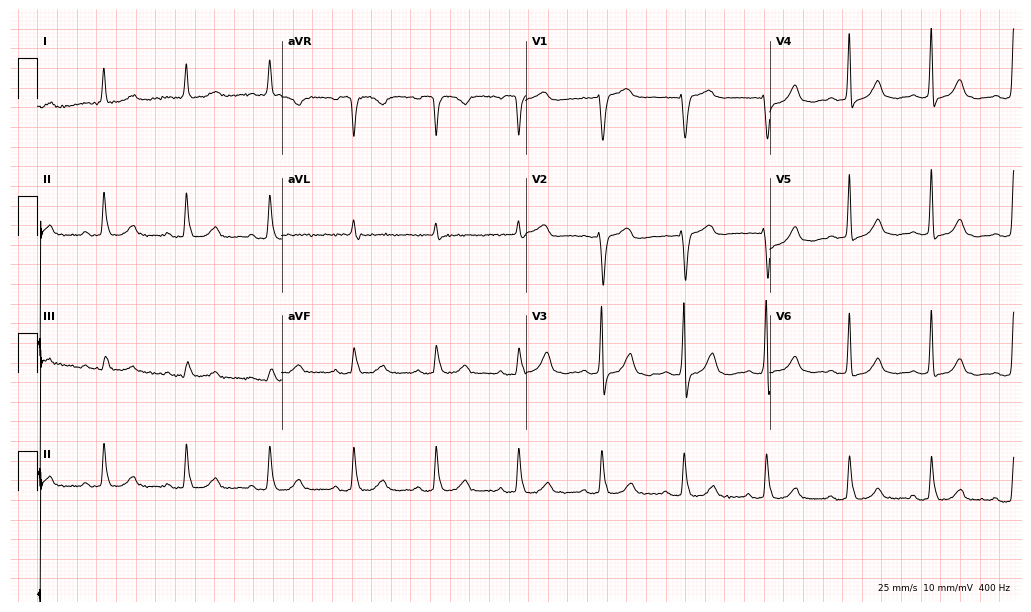
Resting 12-lead electrocardiogram (10-second recording at 400 Hz). Patient: a woman, 67 years old. None of these six findings is recorded: first-degree AV block, right bundle branch block, left bundle branch block, sinus bradycardia, atrial fibrillation, sinus tachycardia.